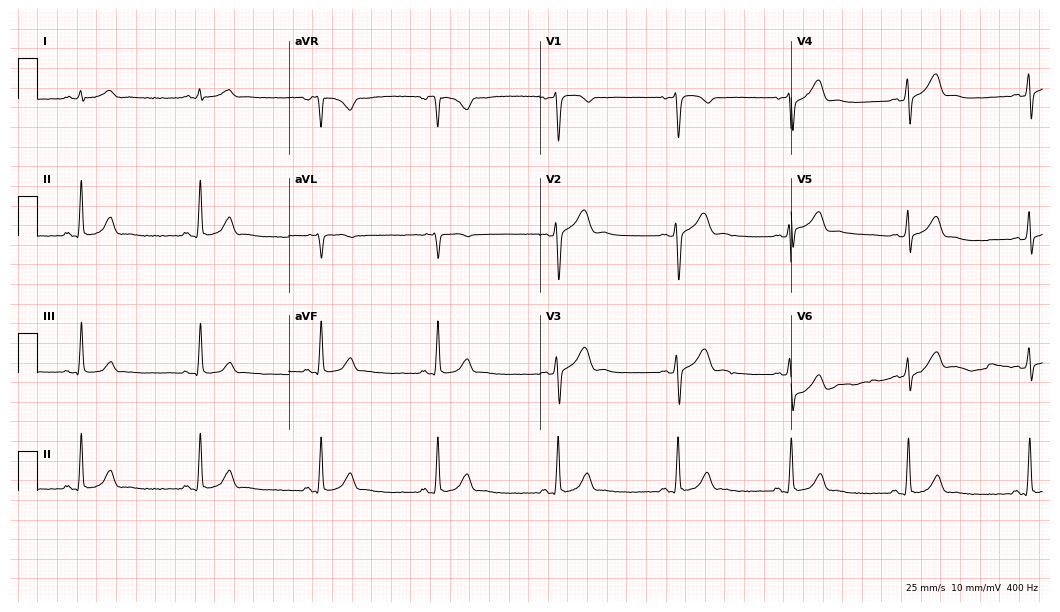
Electrocardiogram, a man, 35 years old. Interpretation includes sinus bradycardia (a sinus rate of 50 beats per minute or less).